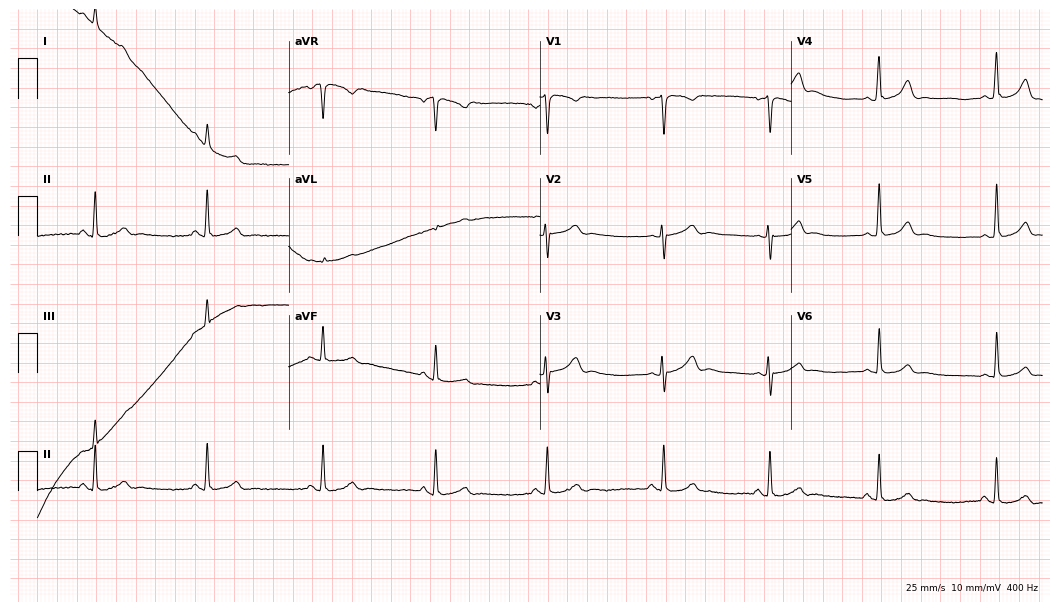
Standard 12-lead ECG recorded from a woman, 26 years old. None of these six findings is recorded: first-degree AV block, right bundle branch block (RBBB), left bundle branch block (LBBB), sinus bradycardia, atrial fibrillation (AF), sinus tachycardia. Only these six findings were labelled.